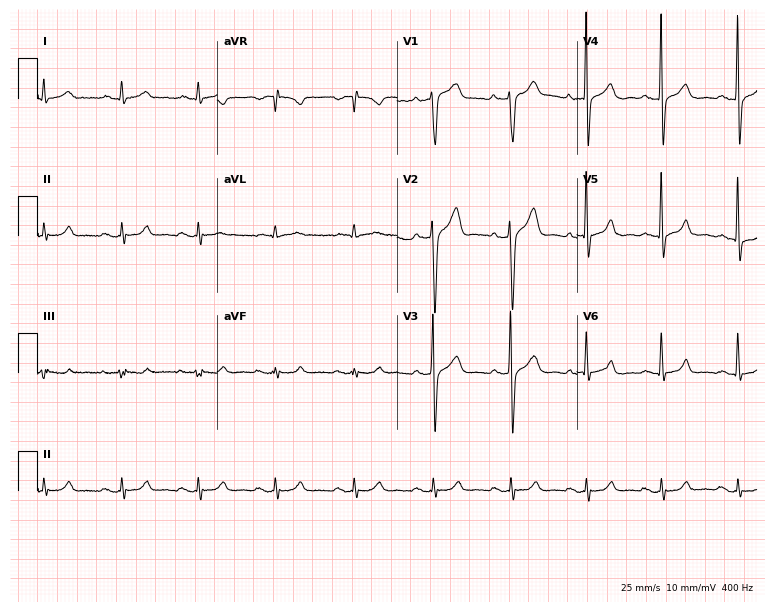
ECG — a male, 27 years old. Labelled as a normal ECG.